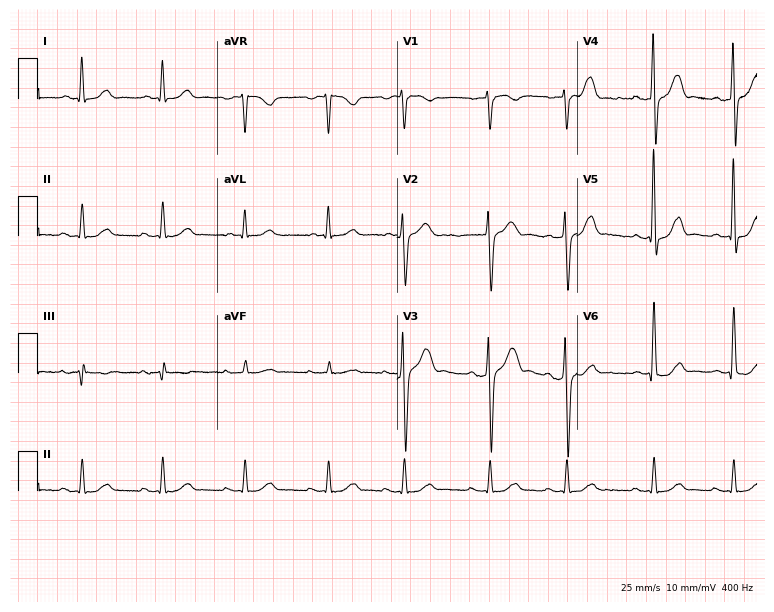
Electrocardiogram, a man, 43 years old. Of the six screened findings (first-degree AV block, right bundle branch block (RBBB), left bundle branch block (LBBB), sinus bradycardia, atrial fibrillation (AF), sinus tachycardia), none is recorded.